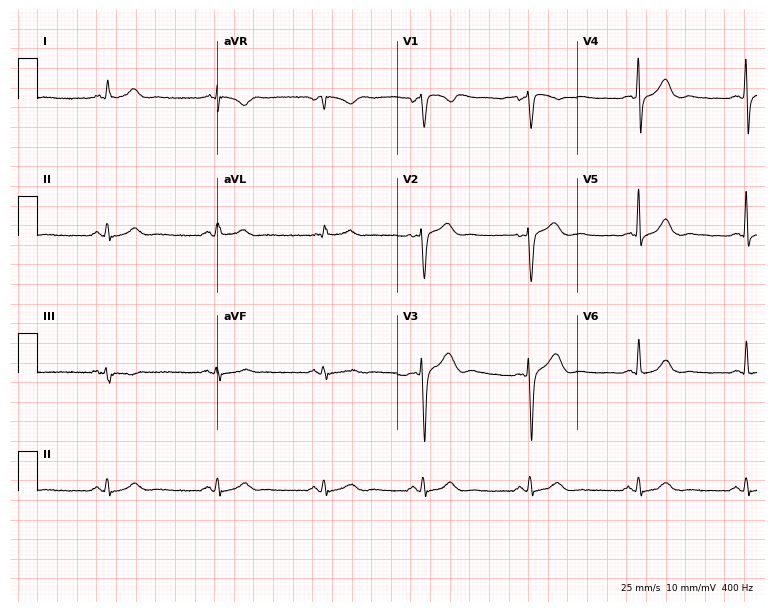
Electrocardiogram, a 62-year-old man. Overall reading on record: normal ECG.